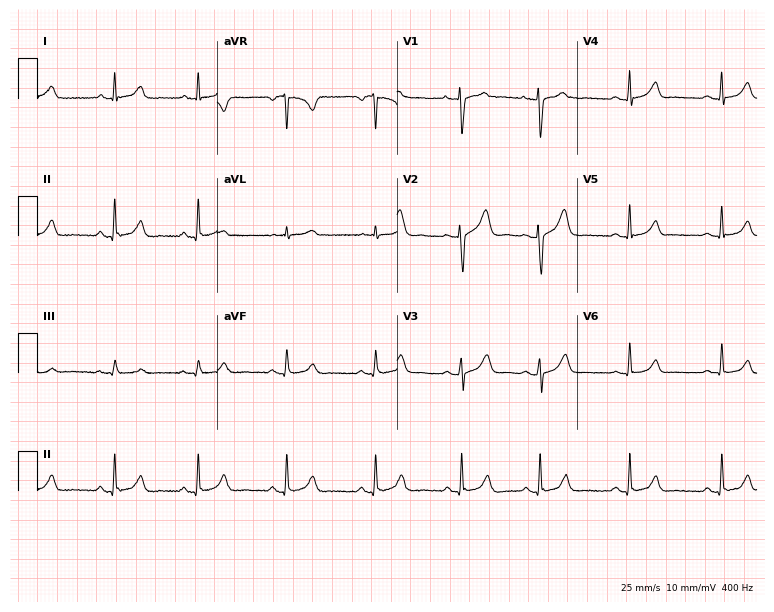
ECG — a woman, 25 years old. Screened for six findings — first-degree AV block, right bundle branch block, left bundle branch block, sinus bradycardia, atrial fibrillation, sinus tachycardia — none is recorded.